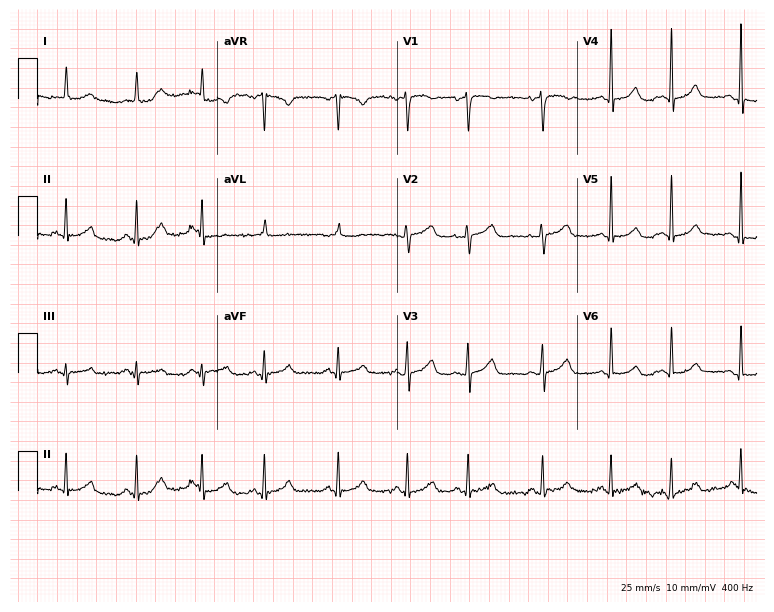
12-lead ECG from a 79-year-old female. Recorded interpretation: within normal limits.